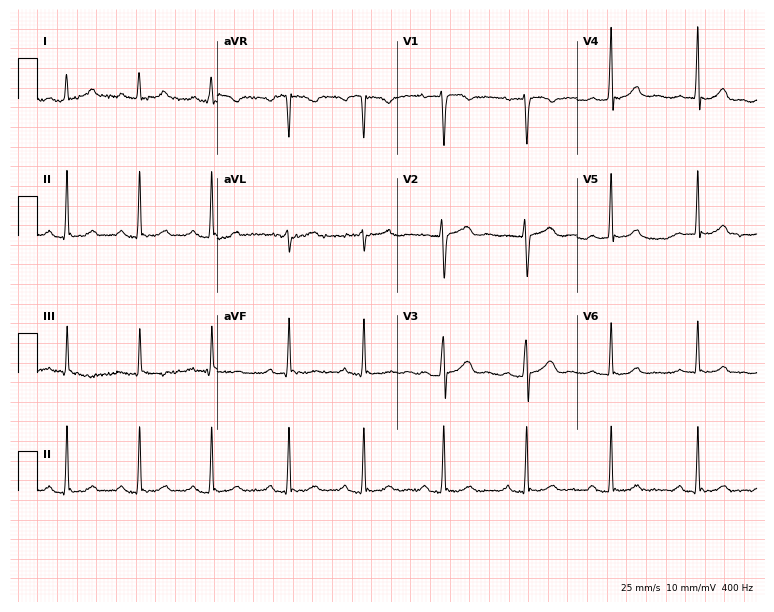
Standard 12-lead ECG recorded from a female, 23 years old (7.3-second recording at 400 Hz). None of these six findings is recorded: first-degree AV block, right bundle branch block (RBBB), left bundle branch block (LBBB), sinus bradycardia, atrial fibrillation (AF), sinus tachycardia.